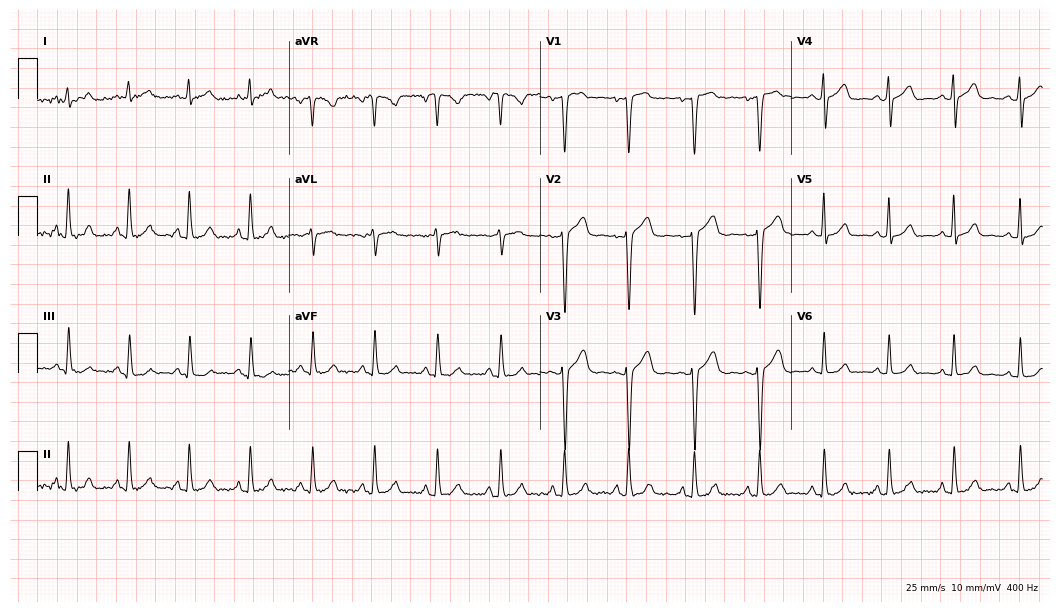
Resting 12-lead electrocardiogram (10.2-second recording at 400 Hz). Patient: a 33-year-old female. Read as a normal ECG.